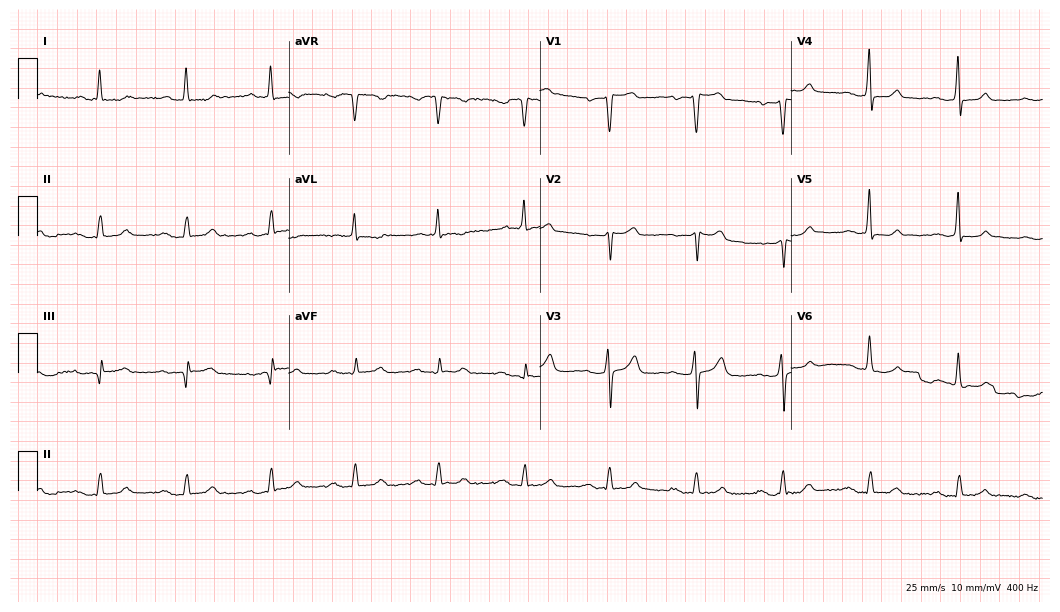
Electrocardiogram (10.2-second recording at 400 Hz), a 40-year-old female. Interpretation includes first-degree AV block.